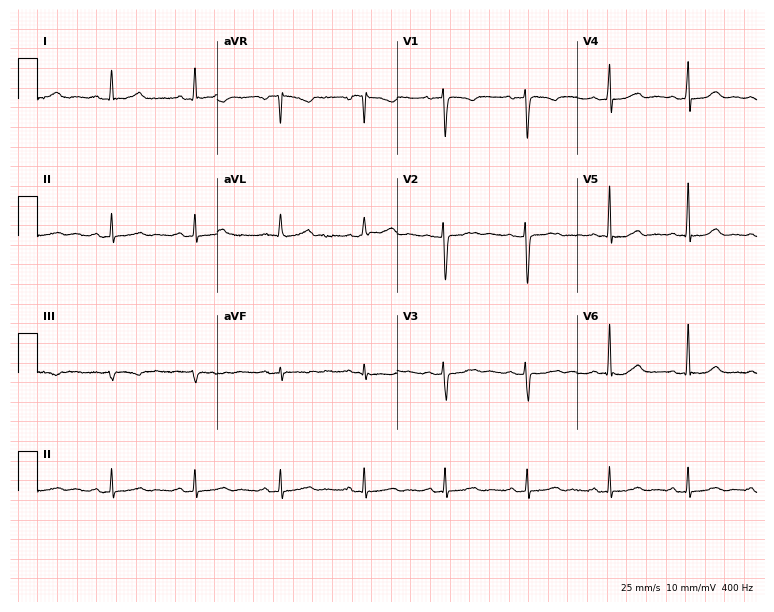
Electrocardiogram, a 53-year-old female. Of the six screened findings (first-degree AV block, right bundle branch block, left bundle branch block, sinus bradycardia, atrial fibrillation, sinus tachycardia), none is recorded. Other findings, if any, are not listed.